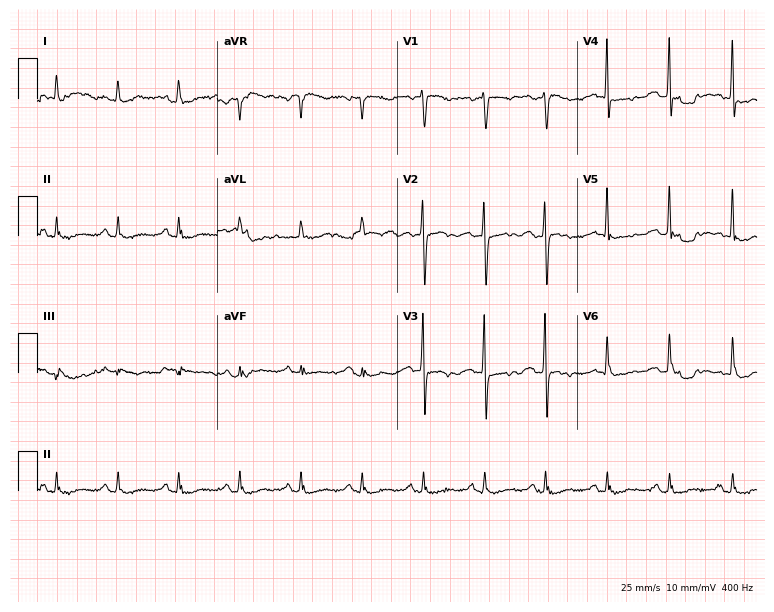
Resting 12-lead electrocardiogram. Patient: a 59-year-old female. None of these six findings is recorded: first-degree AV block, right bundle branch block, left bundle branch block, sinus bradycardia, atrial fibrillation, sinus tachycardia.